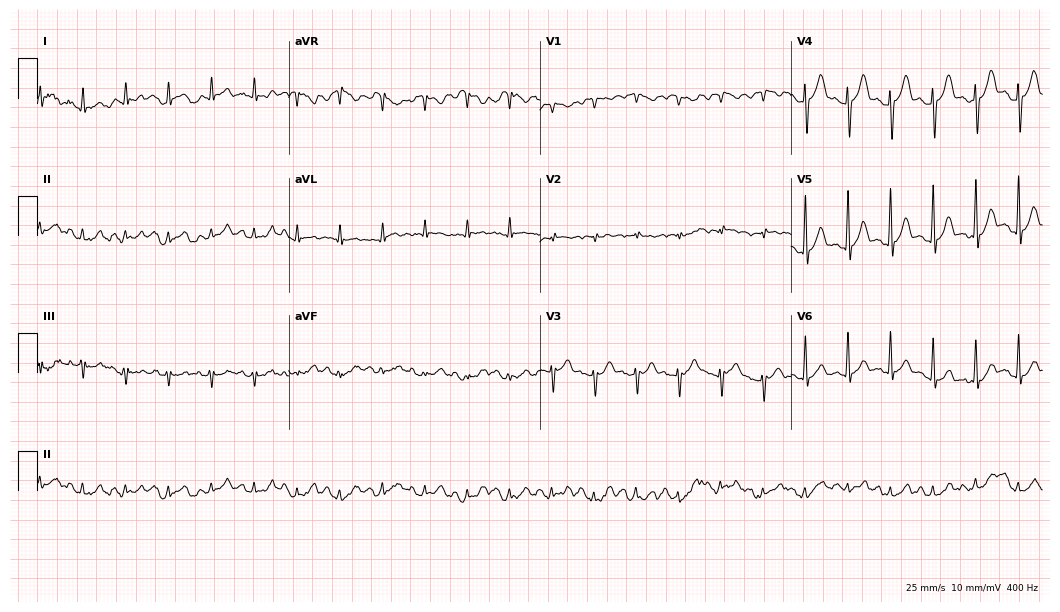
Electrocardiogram (10.2-second recording at 400 Hz), a 33-year-old man. Interpretation includes sinus tachycardia (a sinus rate of 100 beats per minute or more).